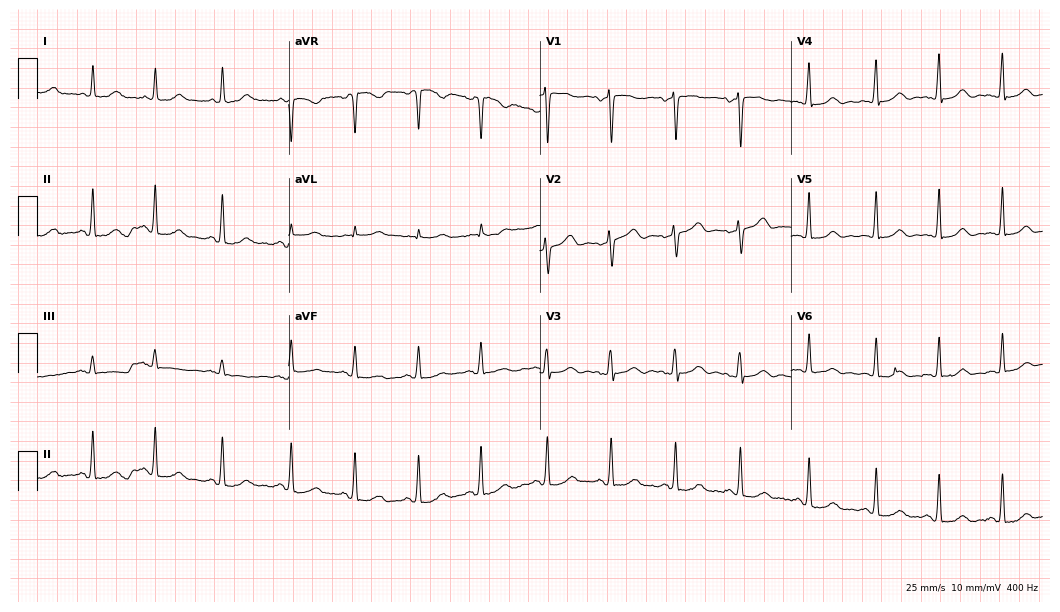
12-lead ECG from a woman, 48 years old (10.2-second recording at 400 Hz). Recorded interpretation: within normal limits.